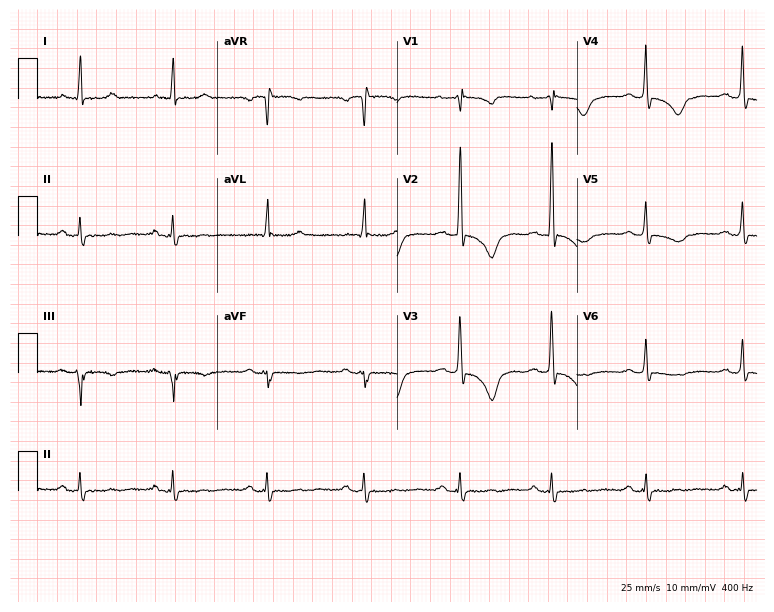
Electrocardiogram, a 57-year-old female patient. Of the six screened findings (first-degree AV block, right bundle branch block, left bundle branch block, sinus bradycardia, atrial fibrillation, sinus tachycardia), none is recorded. Other findings, if any, are not listed.